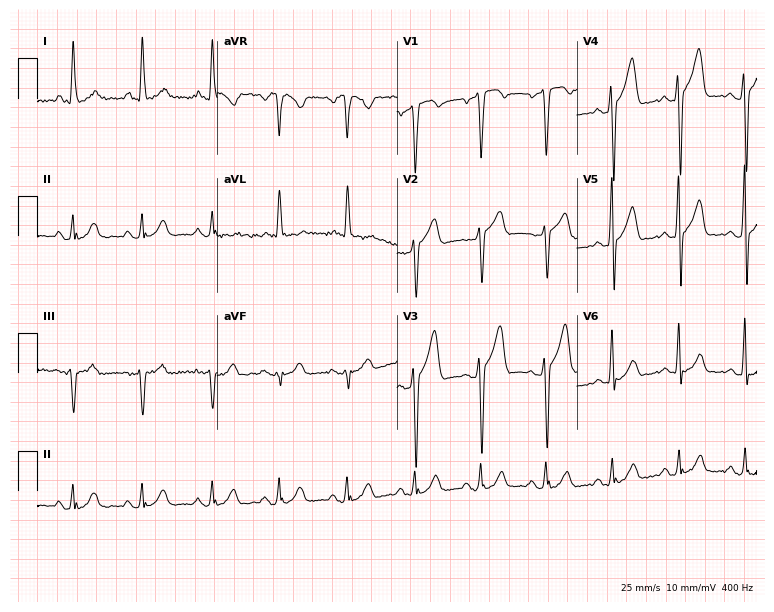
12-lead ECG from a 55-year-old male patient (7.3-second recording at 400 Hz). No first-degree AV block, right bundle branch block (RBBB), left bundle branch block (LBBB), sinus bradycardia, atrial fibrillation (AF) or sinus tachycardia recorded for this tracing.